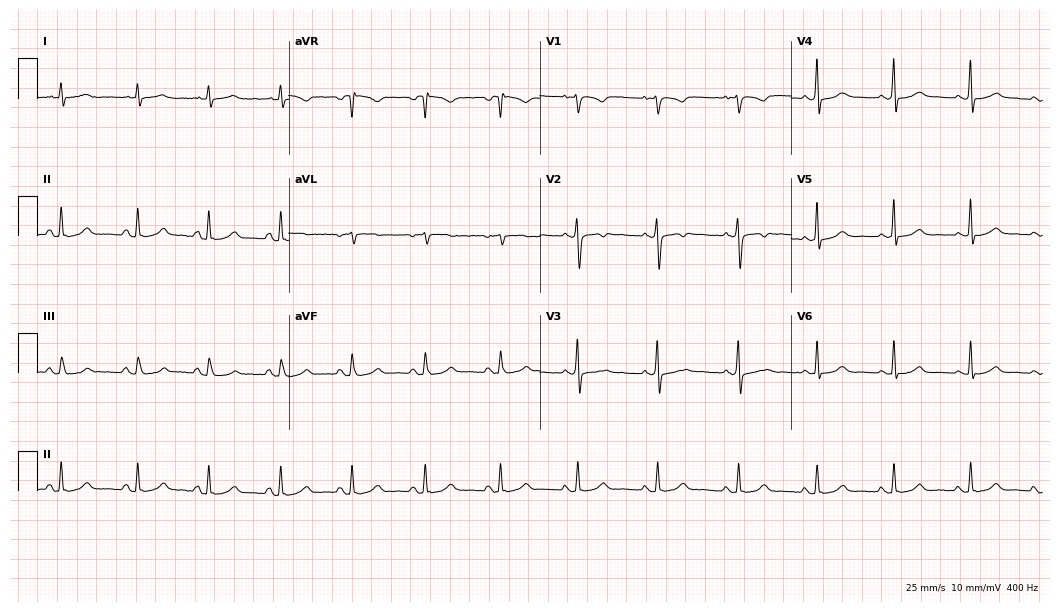
ECG (10.2-second recording at 400 Hz) — a female, 33 years old. Screened for six findings — first-degree AV block, right bundle branch block, left bundle branch block, sinus bradycardia, atrial fibrillation, sinus tachycardia — none is recorded. Only these six findings were labelled.